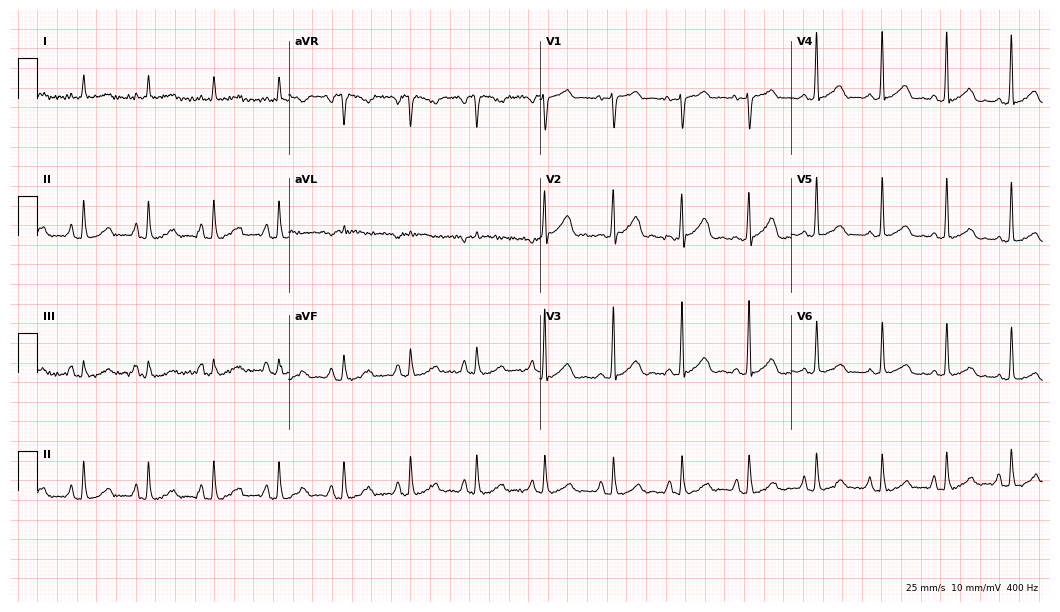
12-lead ECG from a male, 62 years old (10.2-second recording at 400 Hz). No first-degree AV block, right bundle branch block, left bundle branch block, sinus bradycardia, atrial fibrillation or sinus tachycardia recorded for this tracing. Other findings, if any, are not listed.